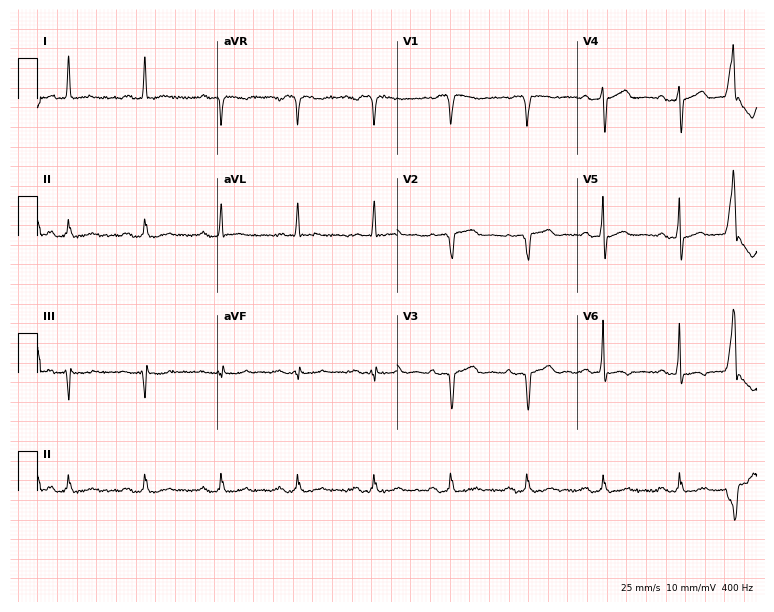
ECG (7.3-second recording at 400 Hz) — a male, 73 years old. Screened for six findings — first-degree AV block, right bundle branch block, left bundle branch block, sinus bradycardia, atrial fibrillation, sinus tachycardia — none is recorded. Other findings, if any, are not listed.